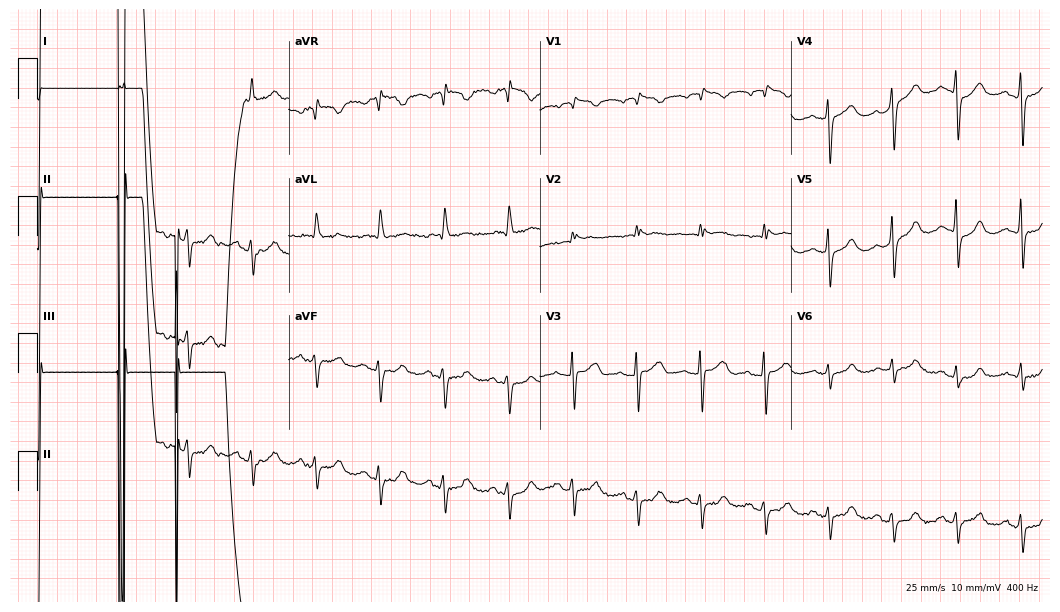
12-lead ECG from a woman, 63 years old. No first-degree AV block, right bundle branch block, left bundle branch block, sinus bradycardia, atrial fibrillation or sinus tachycardia recorded for this tracing.